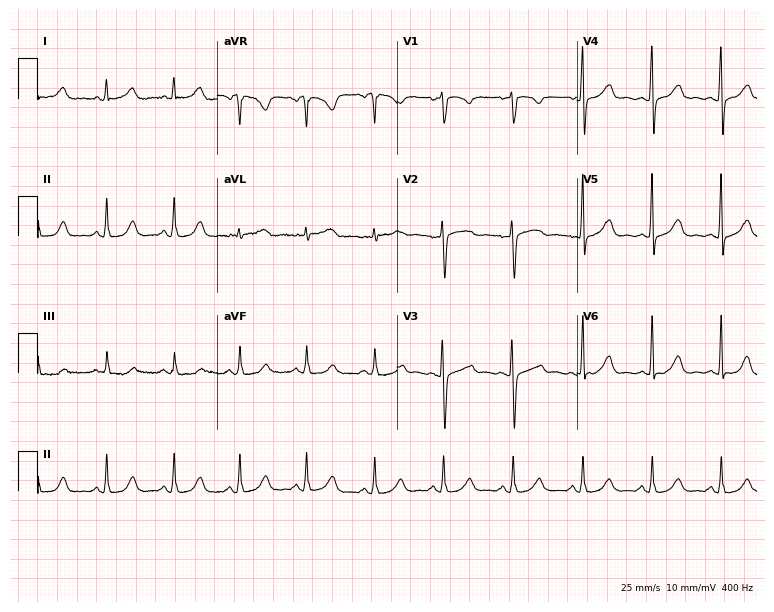
Standard 12-lead ECG recorded from a woman, 47 years old (7.3-second recording at 400 Hz). Read as a normal ECG.